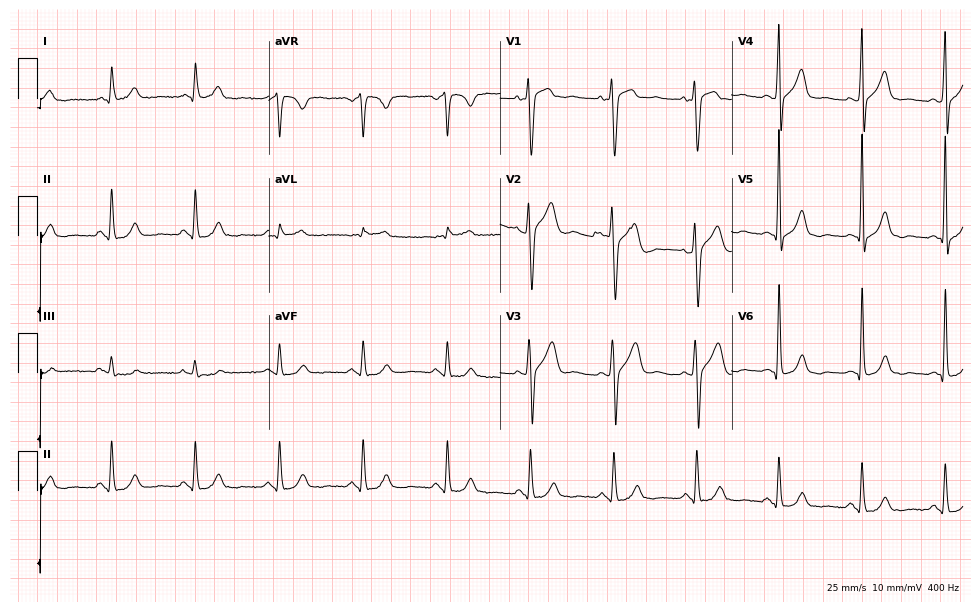
Standard 12-lead ECG recorded from a 55-year-old man (9.4-second recording at 400 Hz). Read as a normal ECG.